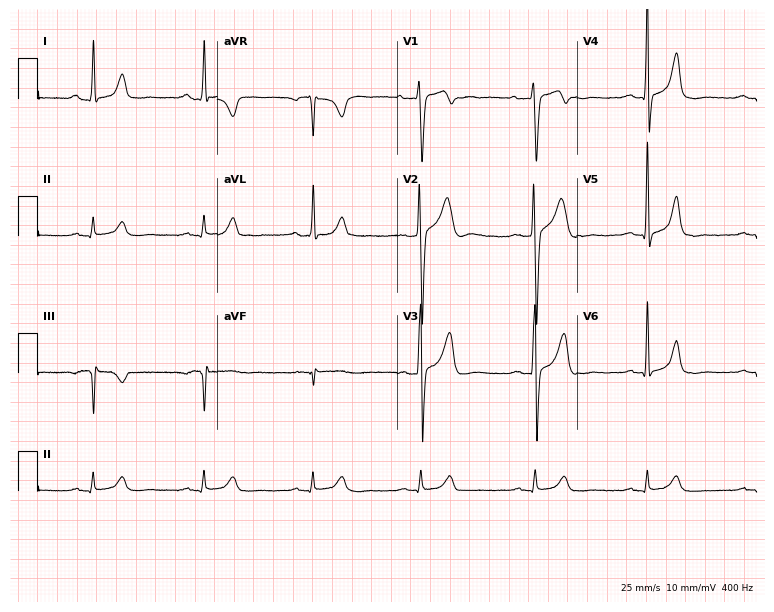
ECG — a 33-year-old male patient. Screened for six findings — first-degree AV block, right bundle branch block (RBBB), left bundle branch block (LBBB), sinus bradycardia, atrial fibrillation (AF), sinus tachycardia — none is recorded. Other findings, if any, are not listed.